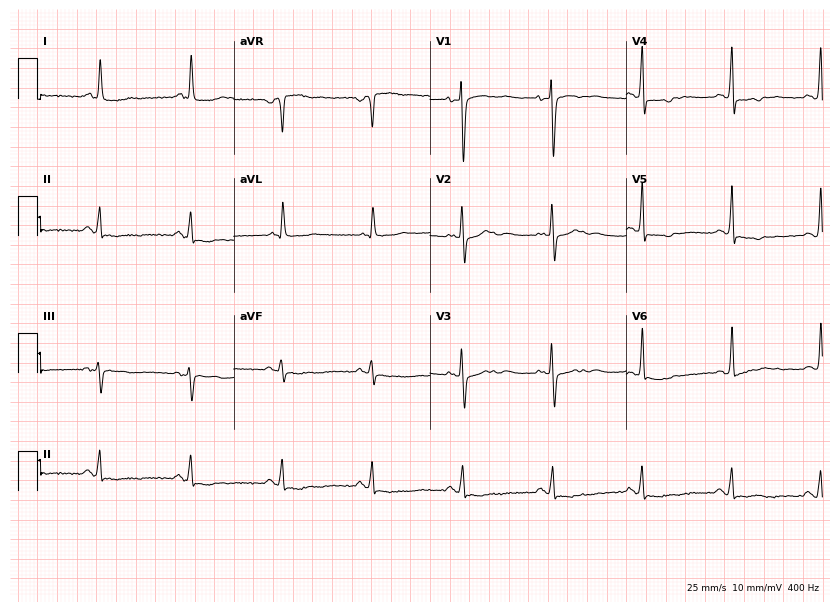
Resting 12-lead electrocardiogram (8-second recording at 400 Hz). Patient: a female, 82 years old. None of these six findings is recorded: first-degree AV block, right bundle branch block (RBBB), left bundle branch block (LBBB), sinus bradycardia, atrial fibrillation (AF), sinus tachycardia. Only these six findings were labelled.